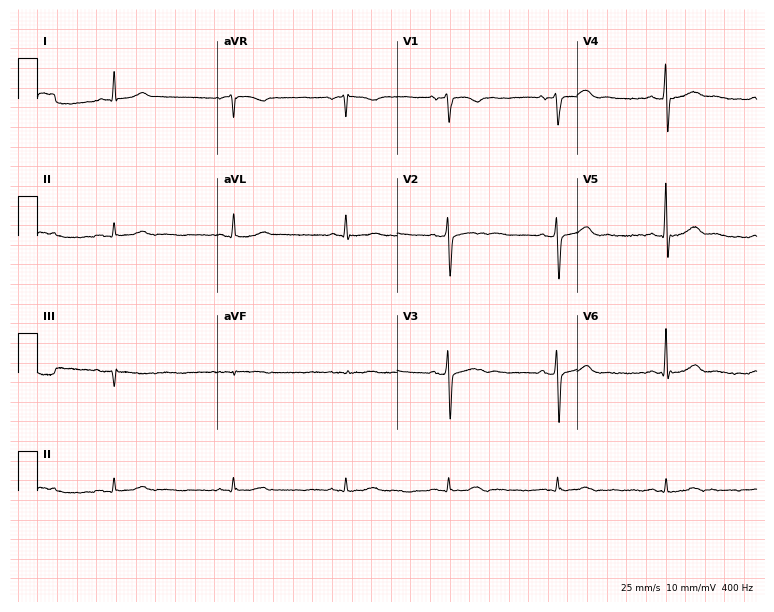
ECG — a male, 71 years old. Labelled as a normal ECG.